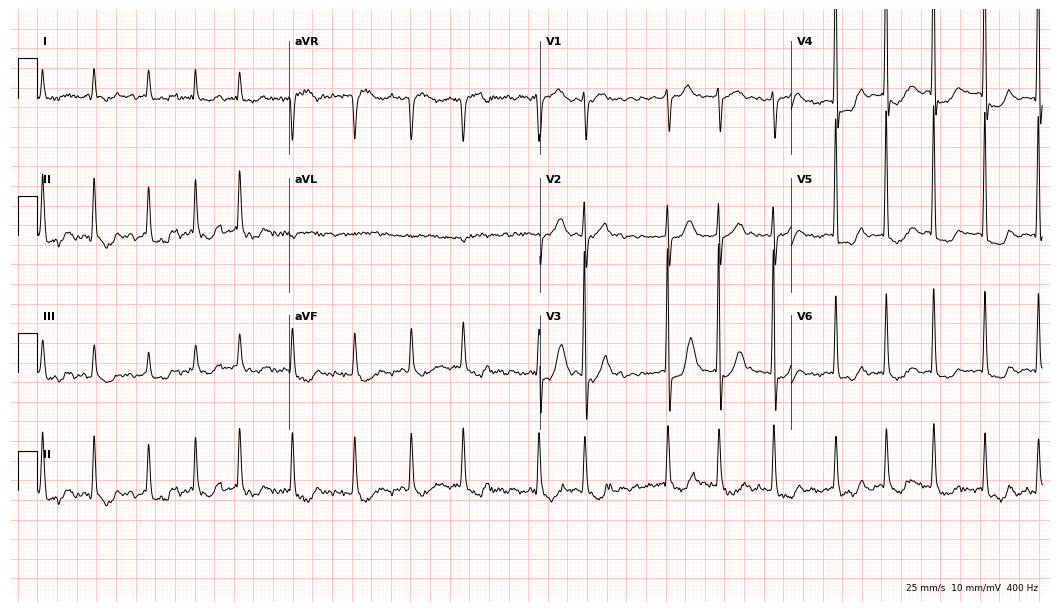
Resting 12-lead electrocardiogram (10.2-second recording at 400 Hz). Patient: an 82-year-old man. The tracing shows atrial fibrillation (AF).